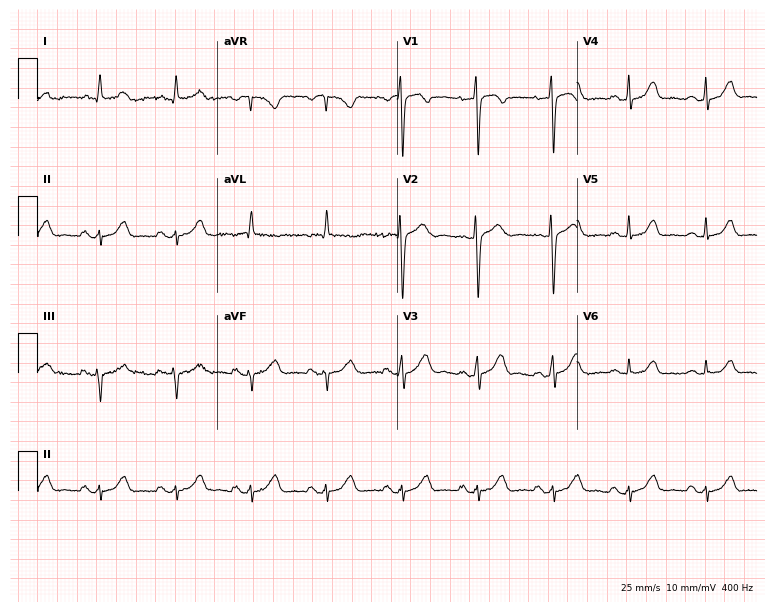
ECG — a female, 74 years old. Screened for six findings — first-degree AV block, right bundle branch block, left bundle branch block, sinus bradycardia, atrial fibrillation, sinus tachycardia — none is recorded.